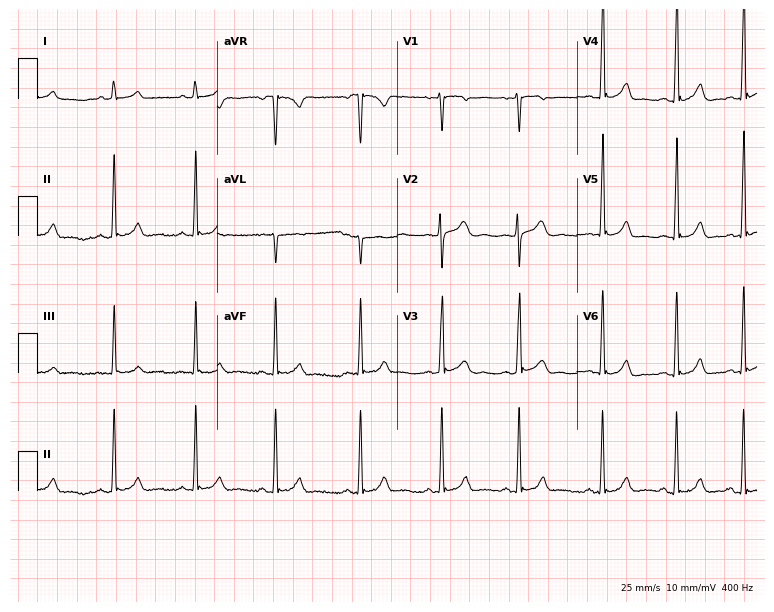
Electrocardiogram (7.3-second recording at 400 Hz), a 19-year-old woman. Overall reading on record: normal ECG.